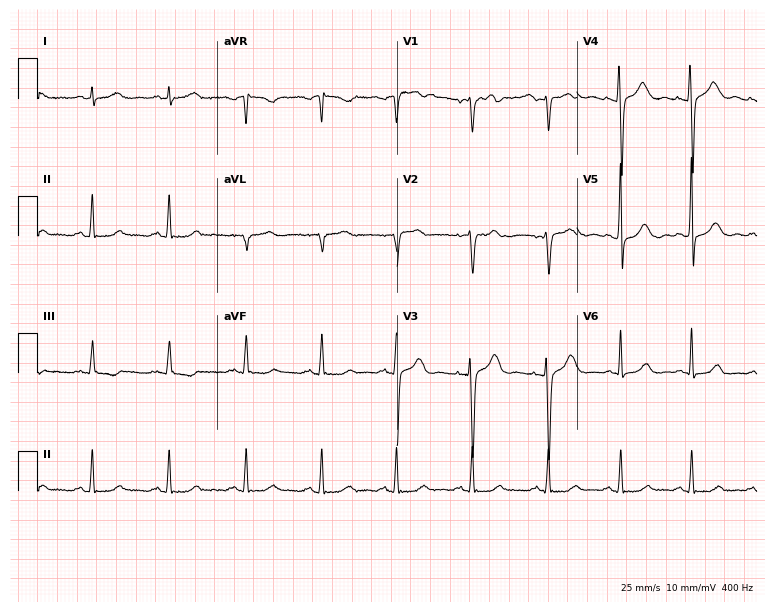
12-lead ECG from a 51-year-old female. Labelled as a normal ECG.